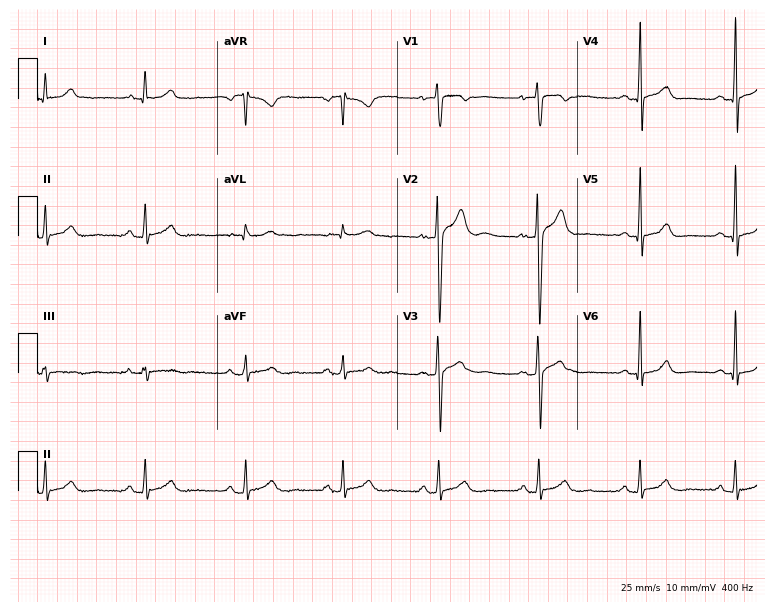
12-lead ECG (7.3-second recording at 400 Hz) from a 25-year-old man. Labelled as a normal ECG.